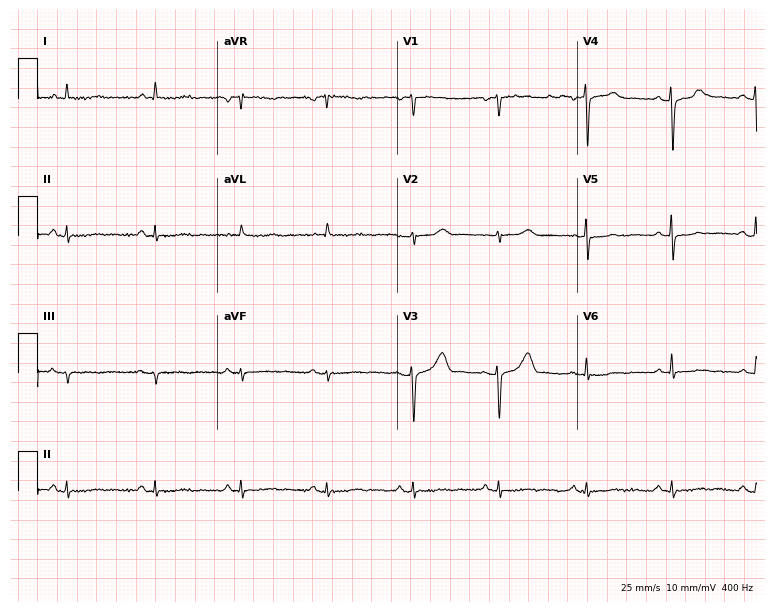
12-lead ECG from a 52-year-old woman. Screened for six findings — first-degree AV block, right bundle branch block, left bundle branch block, sinus bradycardia, atrial fibrillation, sinus tachycardia — none is recorded.